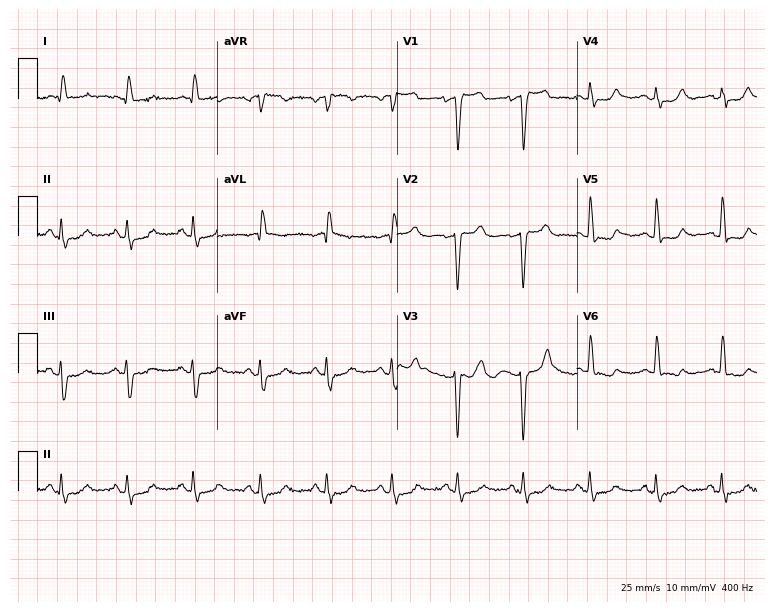
Standard 12-lead ECG recorded from a female, 73 years old. None of these six findings is recorded: first-degree AV block, right bundle branch block, left bundle branch block, sinus bradycardia, atrial fibrillation, sinus tachycardia.